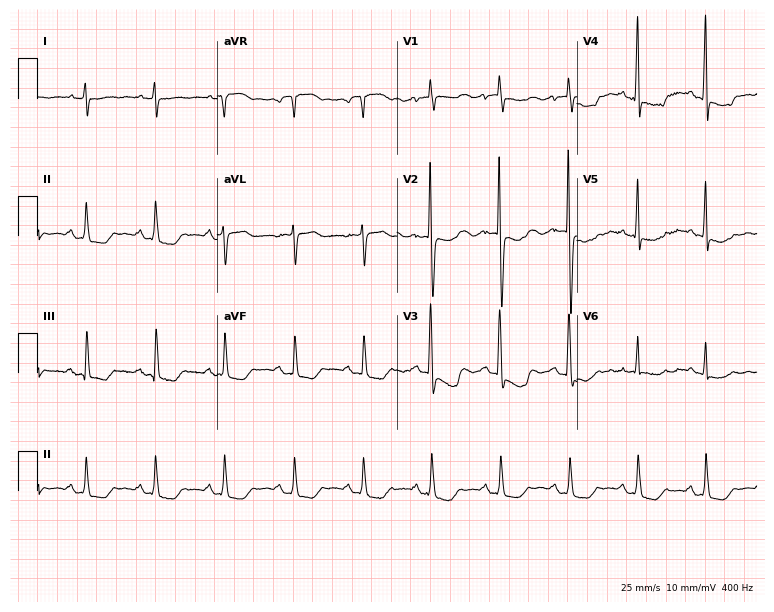
Electrocardiogram, a 74-year-old female. Of the six screened findings (first-degree AV block, right bundle branch block (RBBB), left bundle branch block (LBBB), sinus bradycardia, atrial fibrillation (AF), sinus tachycardia), none is recorded. Other findings, if any, are not listed.